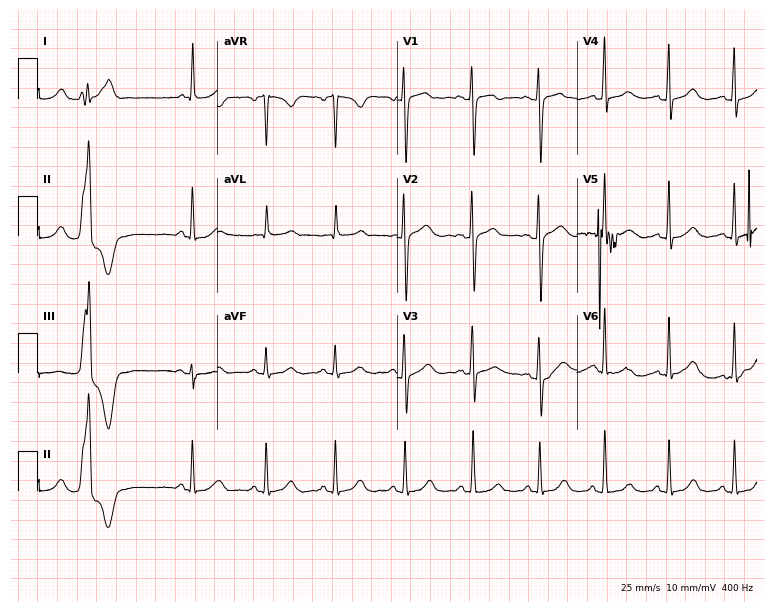
ECG (7.3-second recording at 400 Hz) — a 54-year-old woman. Labelled as a normal ECG.